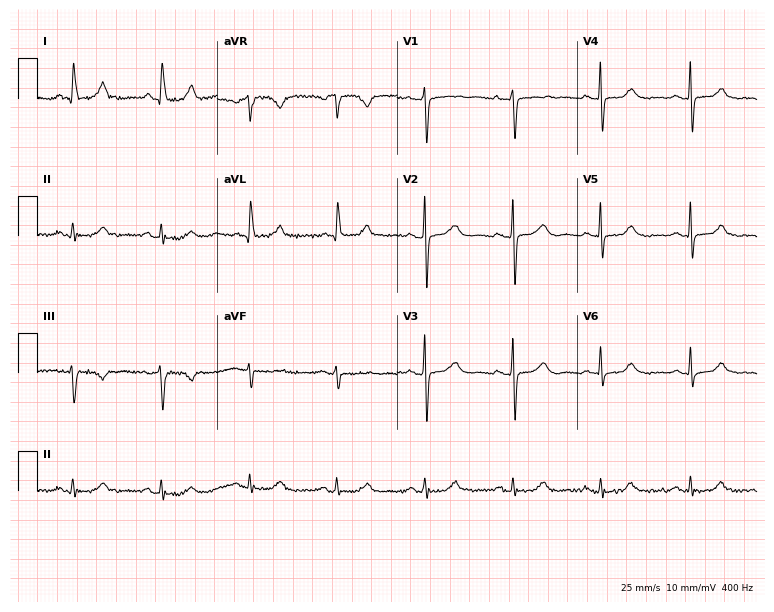
Standard 12-lead ECG recorded from a female patient, 76 years old. None of these six findings is recorded: first-degree AV block, right bundle branch block, left bundle branch block, sinus bradycardia, atrial fibrillation, sinus tachycardia. Findings outside these six are not listed.